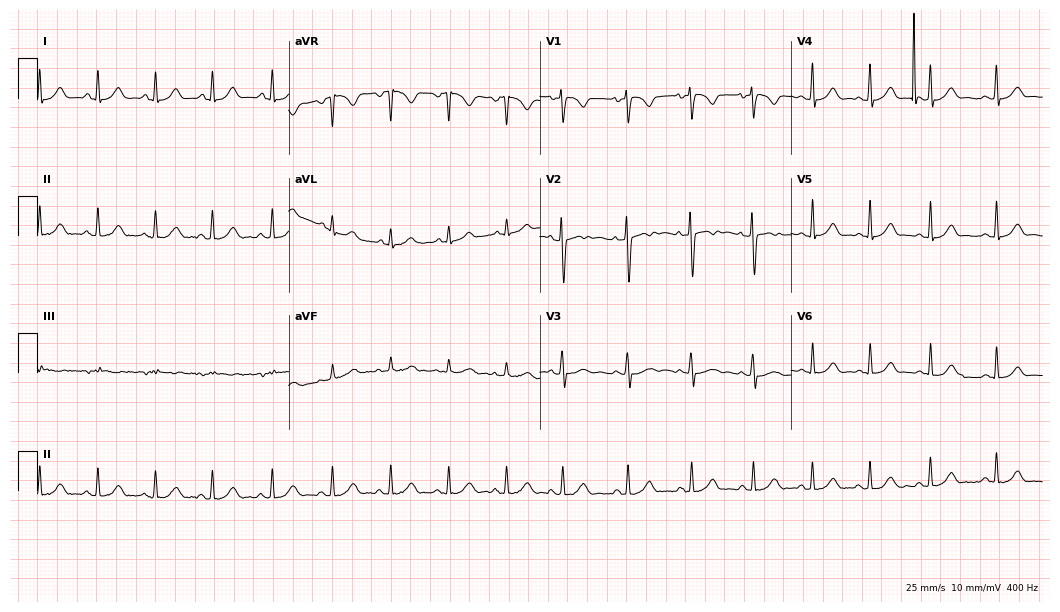
ECG — a 22-year-old female. Labelled as a normal ECG.